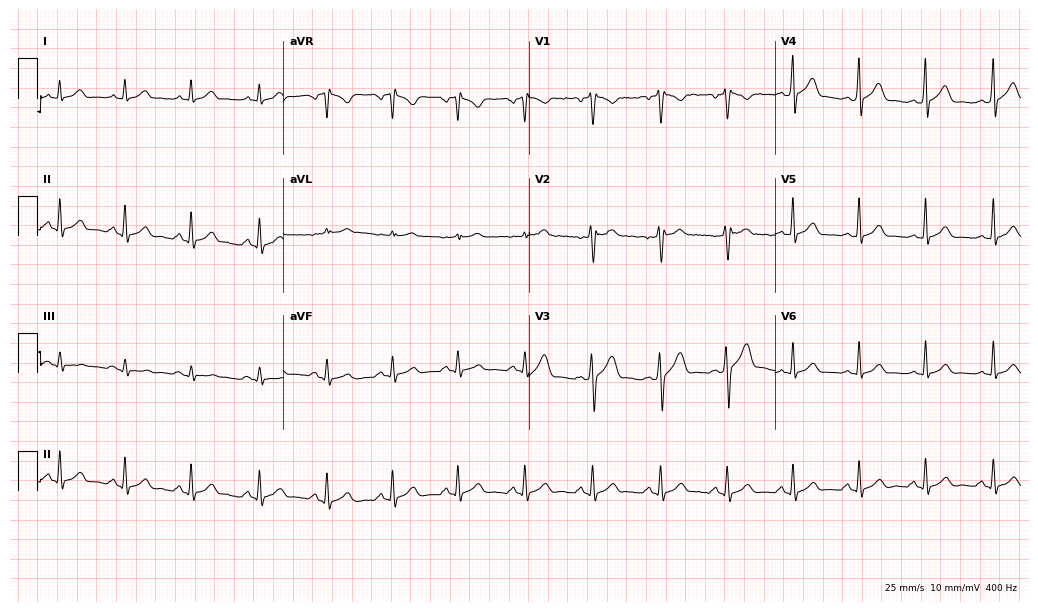
12-lead ECG from a 22-year-old male patient. Labelled as a normal ECG.